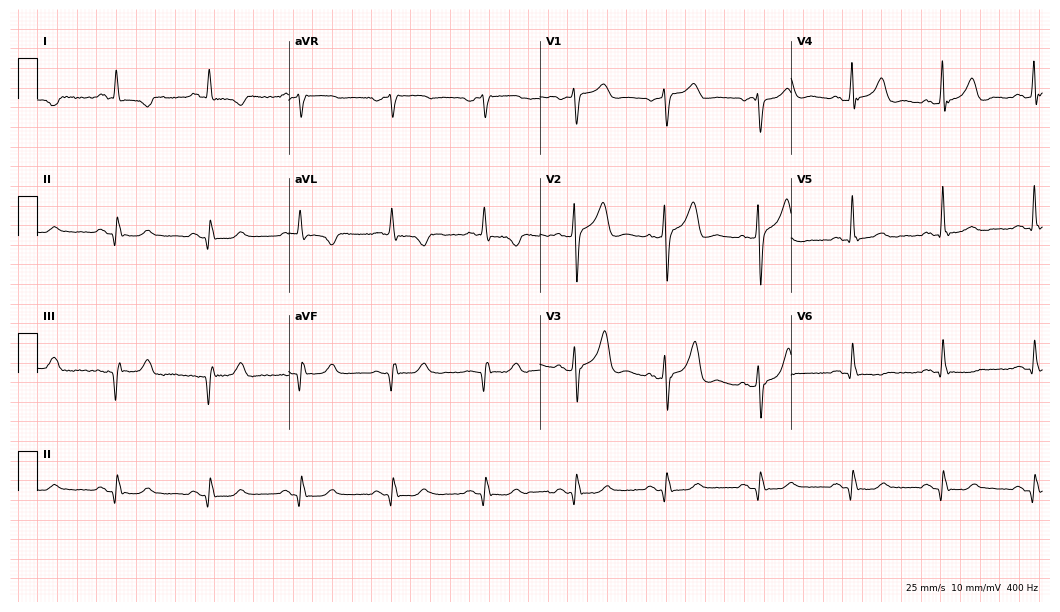
12-lead ECG from a male patient, 52 years old (10.2-second recording at 400 Hz). No first-degree AV block, right bundle branch block (RBBB), left bundle branch block (LBBB), sinus bradycardia, atrial fibrillation (AF) or sinus tachycardia recorded for this tracing.